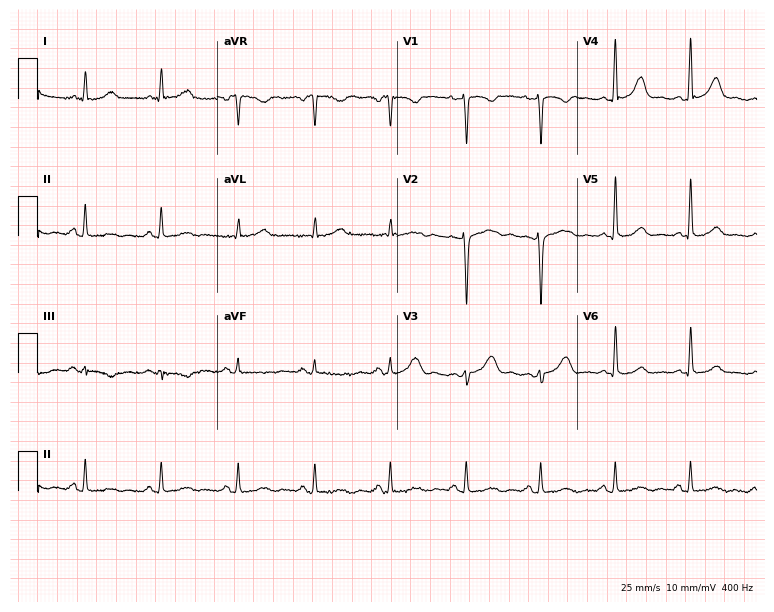
Electrocardiogram (7.3-second recording at 400 Hz), a 38-year-old female patient. Of the six screened findings (first-degree AV block, right bundle branch block, left bundle branch block, sinus bradycardia, atrial fibrillation, sinus tachycardia), none is recorded.